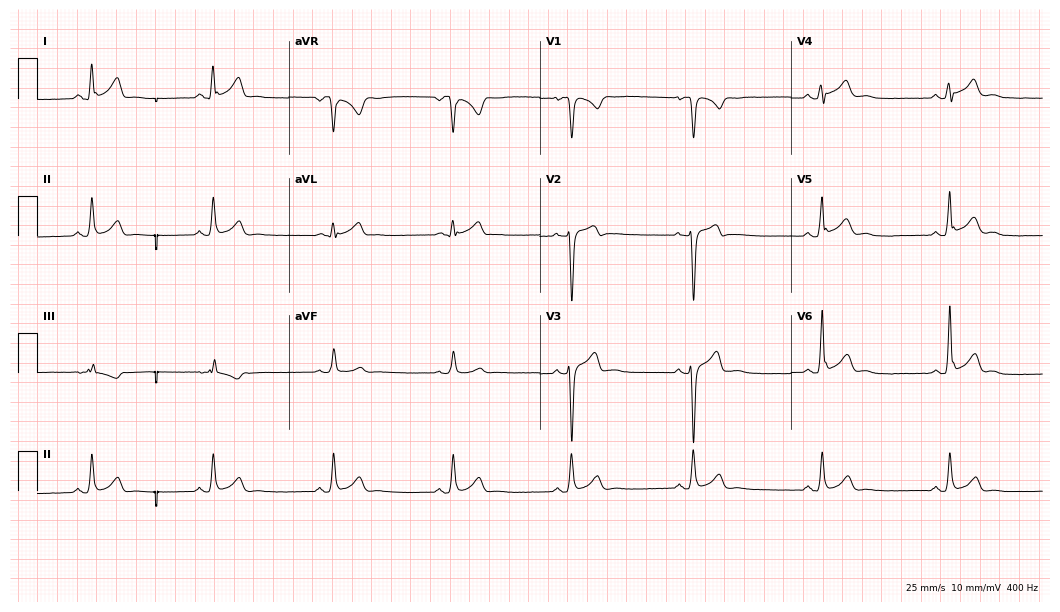
12-lead ECG from a male patient, 22 years old (10.2-second recording at 400 Hz). Shows sinus bradycardia (a sinus rate of 50 beats per minute or less).